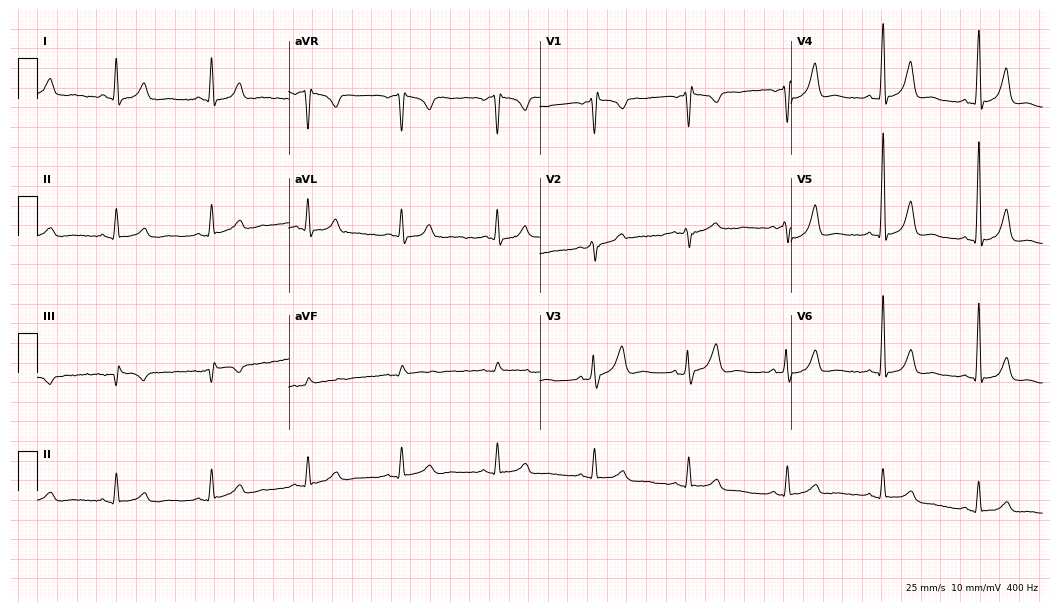
12-lead ECG from a 52-year-old man (10.2-second recording at 400 Hz). No first-degree AV block, right bundle branch block, left bundle branch block, sinus bradycardia, atrial fibrillation or sinus tachycardia recorded for this tracing.